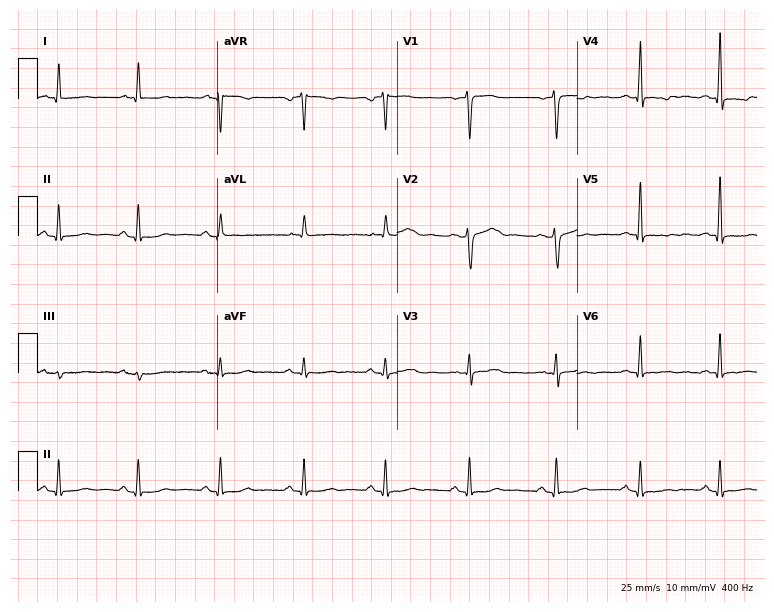
12-lead ECG from a 49-year-old female. Screened for six findings — first-degree AV block, right bundle branch block (RBBB), left bundle branch block (LBBB), sinus bradycardia, atrial fibrillation (AF), sinus tachycardia — none is recorded. Other findings, if any, are not listed.